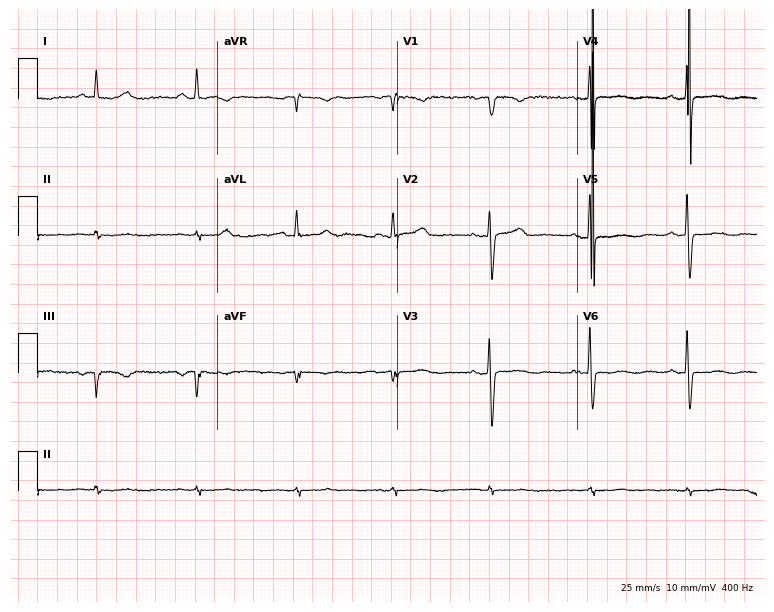
Standard 12-lead ECG recorded from a 78-year-old female patient (7.3-second recording at 400 Hz). None of these six findings is recorded: first-degree AV block, right bundle branch block (RBBB), left bundle branch block (LBBB), sinus bradycardia, atrial fibrillation (AF), sinus tachycardia. Only these six findings were labelled.